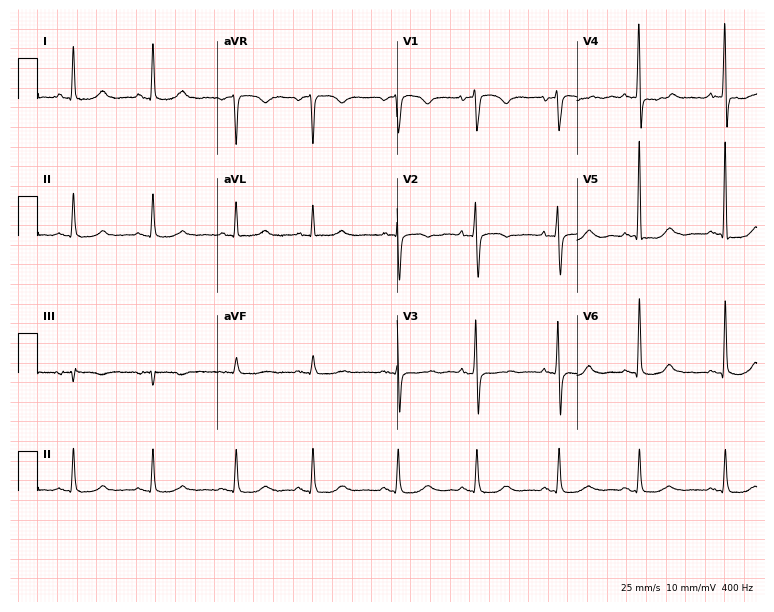
ECG — a female, 74 years old. Screened for six findings — first-degree AV block, right bundle branch block (RBBB), left bundle branch block (LBBB), sinus bradycardia, atrial fibrillation (AF), sinus tachycardia — none is recorded.